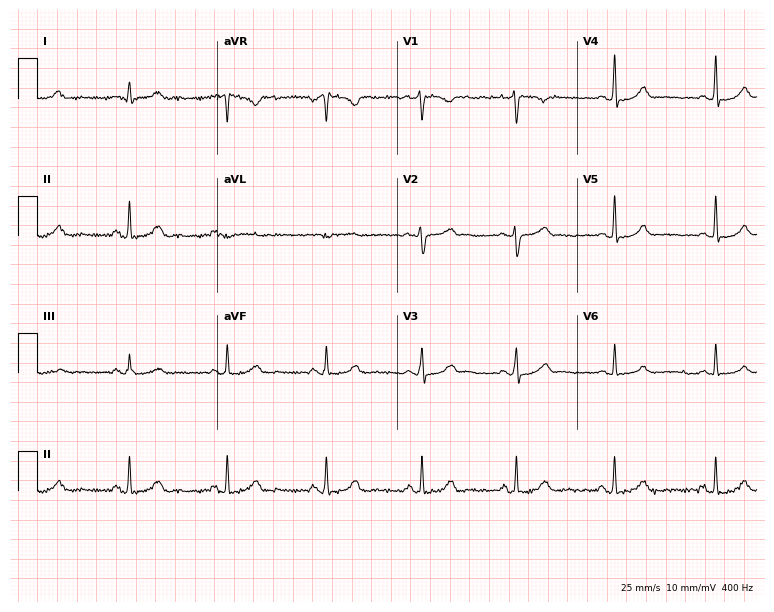
12-lead ECG from a 32-year-old female patient (7.3-second recording at 400 Hz). Recorded interpretation: within normal limits.